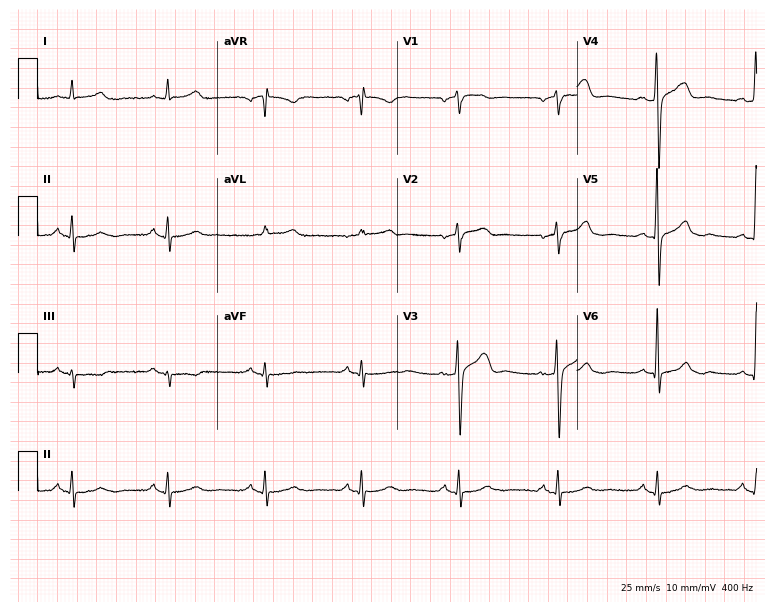
ECG — a male, 63 years old. Screened for six findings — first-degree AV block, right bundle branch block, left bundle branch block, sinus bradycardia, atrial fibrillation, sinus tachycardia — none is recorded. Only these six findings were labelled.